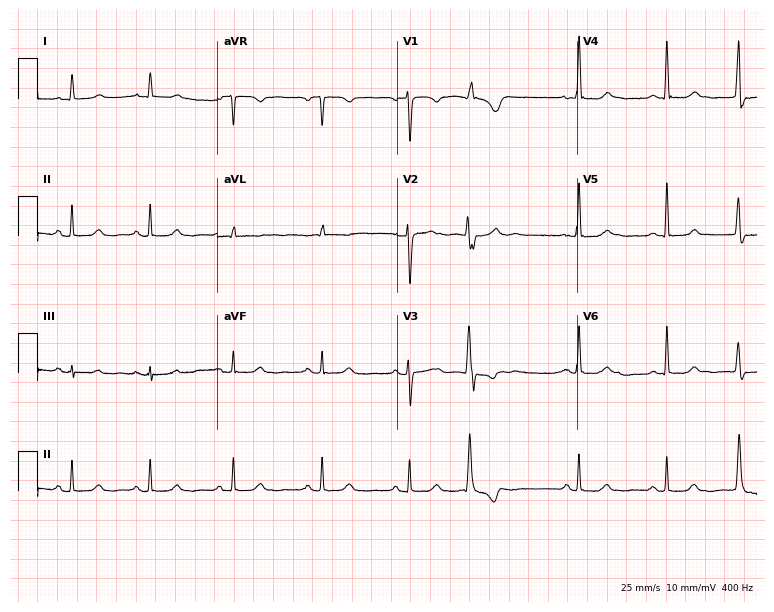
12-lead ECG from a female patient, 26 years old. Screened for six findings — first-degree AV block, right bundle branch block, left bundle branch block, sinus bradycardia, atrial fibrillation, sinus tachycardia — none is recorded.